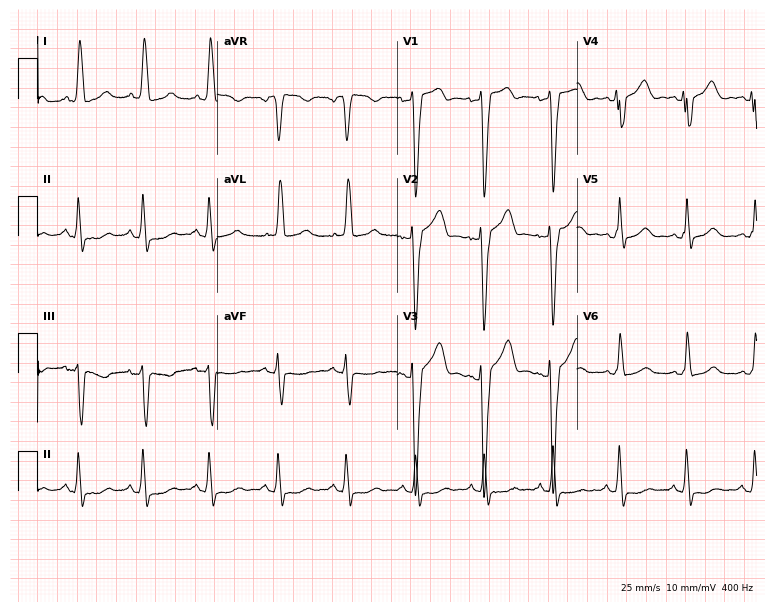
ECG (7.3-second recording at 400 Hz) — a 60-year-old female patient. Findings include left bundle branch block.